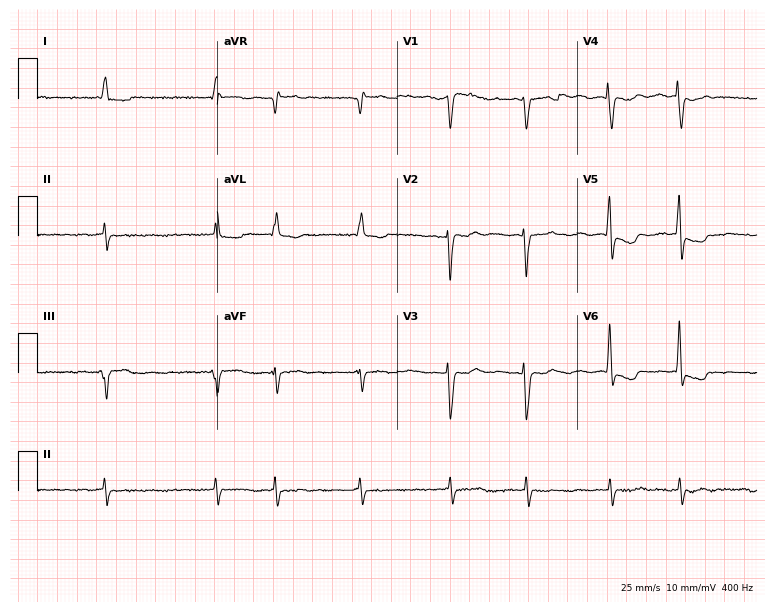
12-lead ECG from a woman, 77 years old. Shows atrial fibrillation.